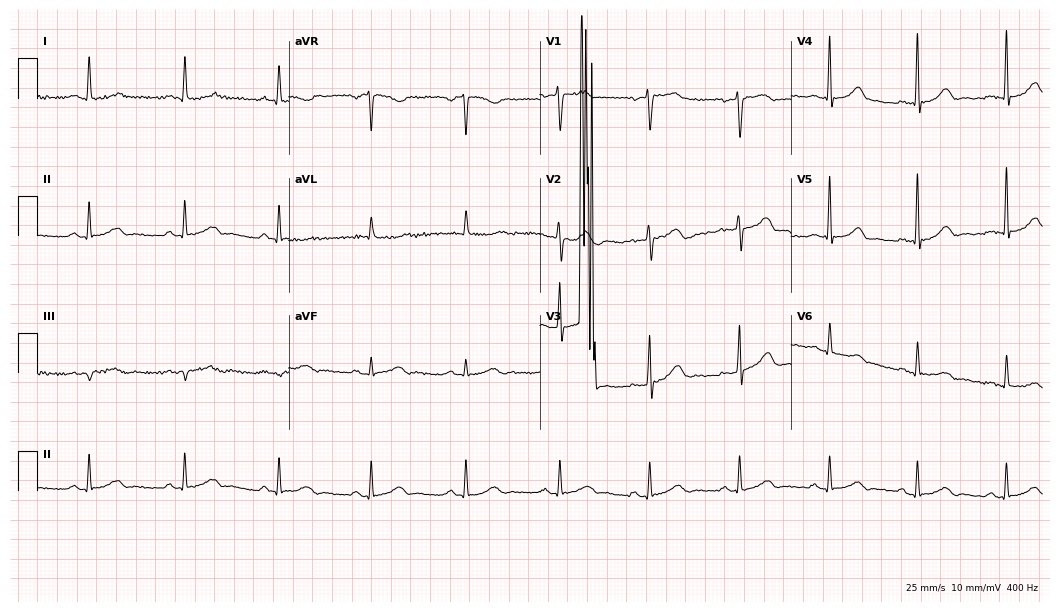
Standard 12-lead ECG recorded from a female patient, 57 years old (10.2-second recording at 400 Hz). None of these six findings is recorded: first-degree AV block, right bundle branch block, left bundle branch block, sinus bradycardia, atrial fibrillation, sinus tachycardia. Findings outside these six are not listed.